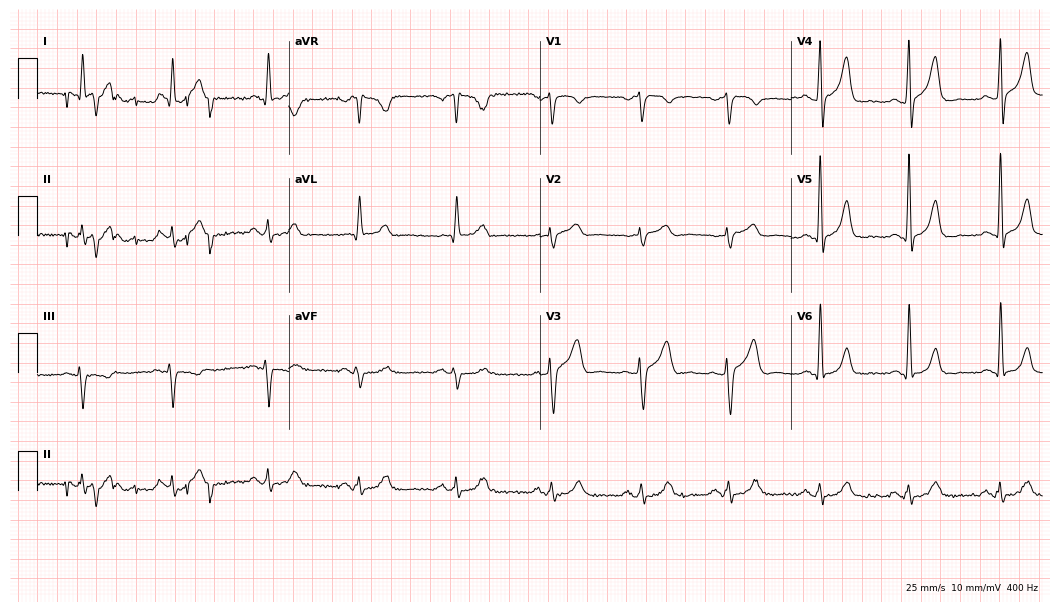
ECG (10.2-second recording at 400 Hz) — a 48-year-old man. Screened for six findings — first-degree AV block, right bundle branch block, left bundle branch block, sinus bradycardia, atrial fibrillation, sinus tachycardia — none is recorded.